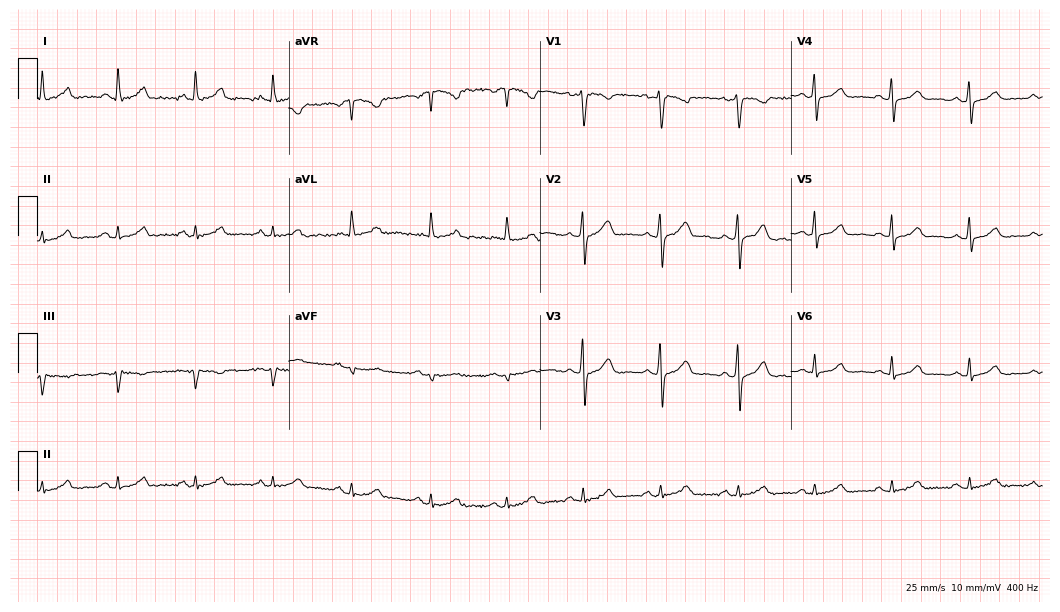
12-lead ECG (10.2-second recording at 400 Hz) from a female, 36 years old. Labelled as a normal ECG.